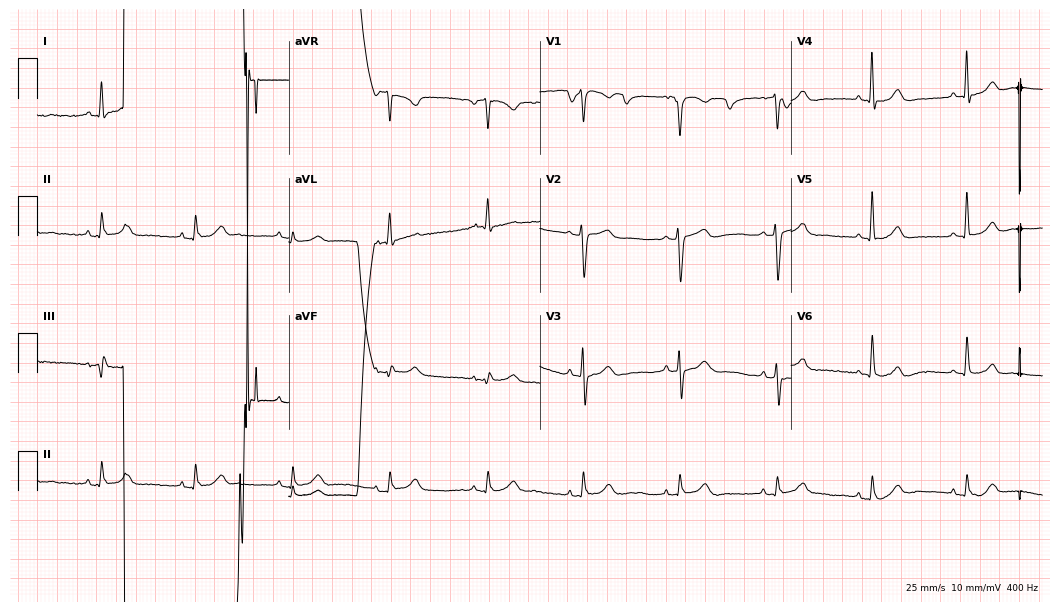
12-lead ECG from a 55-year-old male patient (10.2-second recording at 400 Hz). Recorded interpretation: within normal limits.